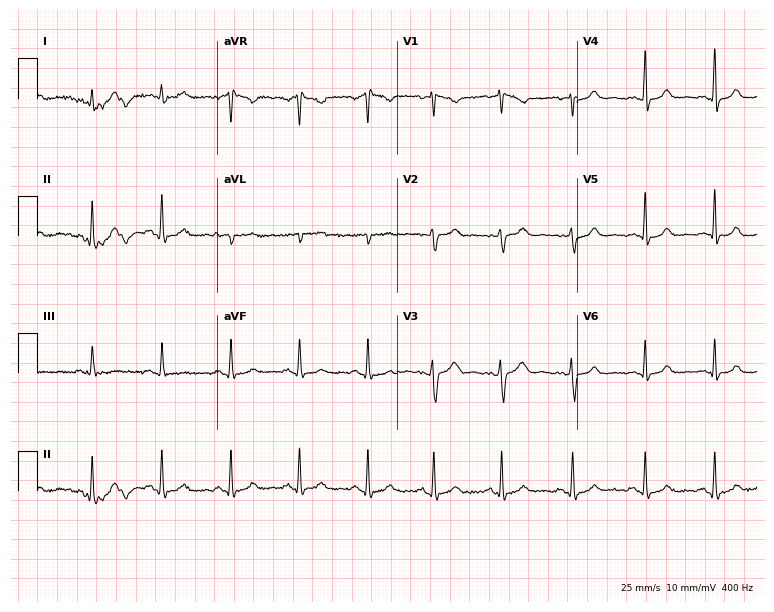
Electrocardiogram (7.3-second recording at 400 Hz), a 29-year-old woman. Of the six screened findings (first-degree AV block, right bundle branch block, left bundle branch block, sinus bradycardia, atrial fibrillation, sinus tachycardia), none is recorded.